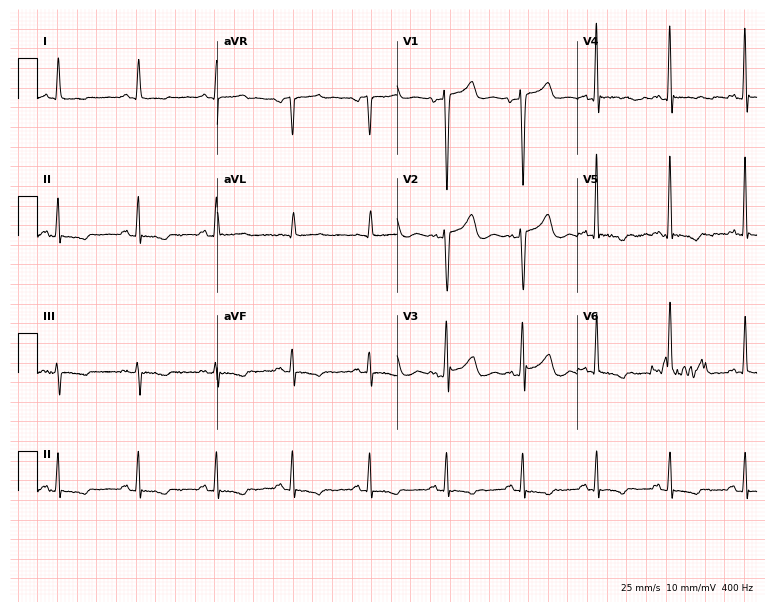
12-lead ECG (7.3-second recording at 400 Hz) from a male, 70 years old. Screened for six findings — first-degree AV block, right bundle branch block, left bundle branch block, sinus bradycardia, atrial fibrillation, sinus tachycardia — none is recorded. Only these six findings were labelled.